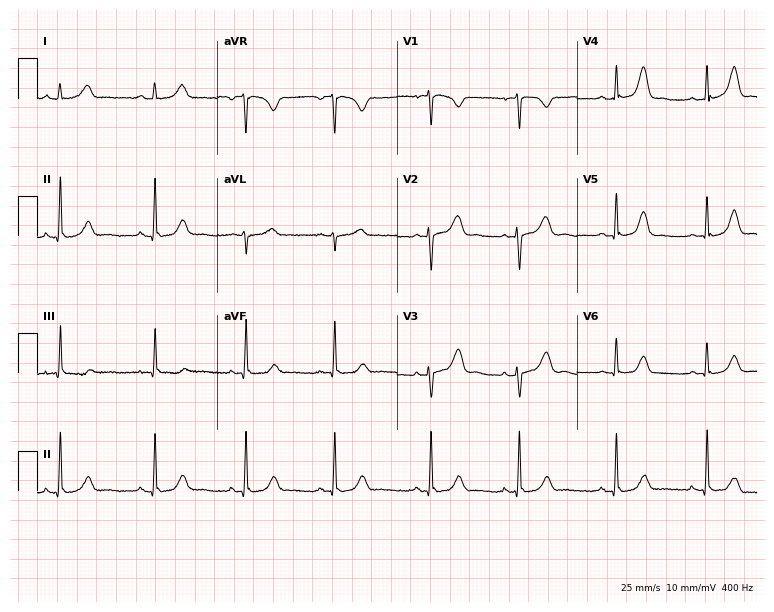
Standard 12-lead ECG recorded from a female, 31 years old. Read as a normal ECG.